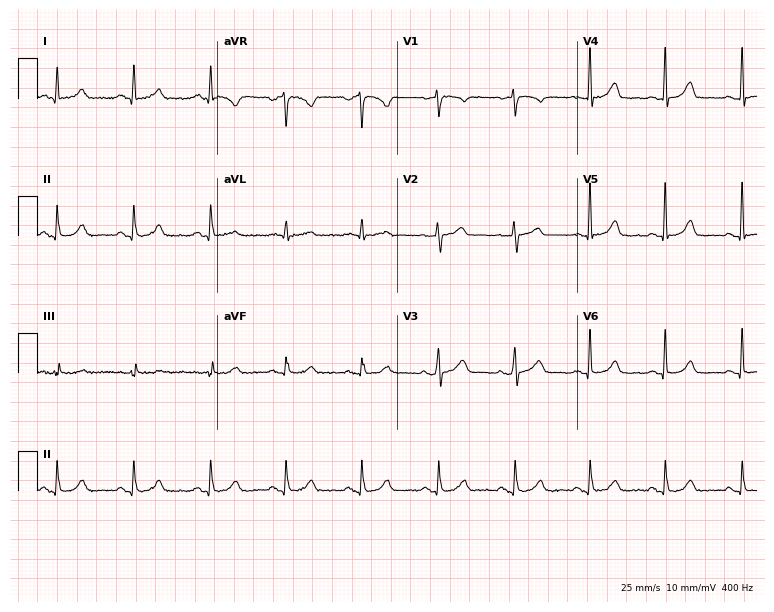
12-lead ECG from a female patient, 50 years old. Labelled as a normal ECG.